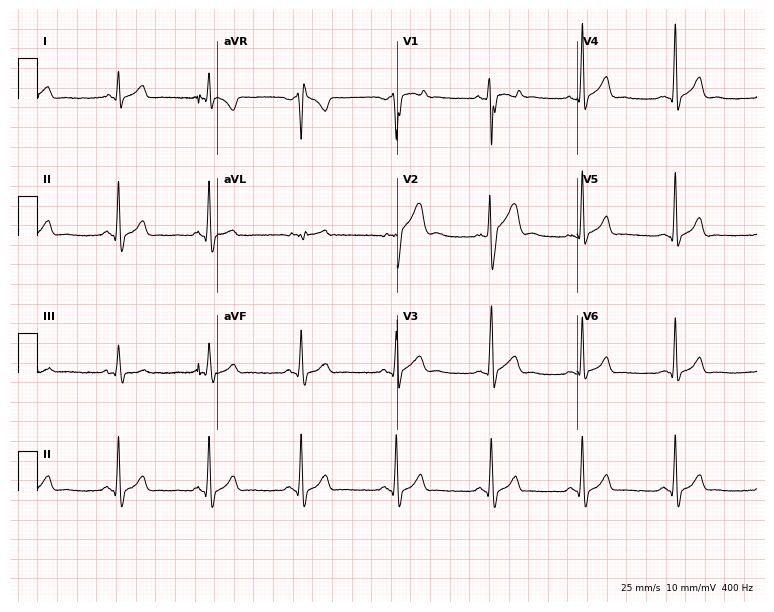
Resting 12-lead electrocardiogram (7.3-second recording at 400 Hz). Patient: a male, 26 years old. None of these six findings is recorded: first-degree AV block, right bundle branch block, left bundle branch block, sinus bradycardia, atrial fibrillation, sinus tachycardia. Other findings, if any, are not listed.